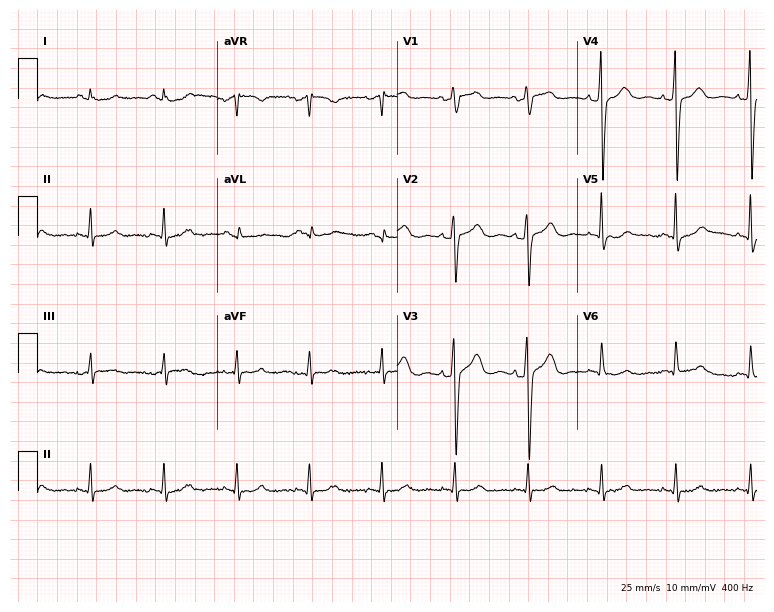
Resting 12-lead electrocardiogram. Patient: a male, 48 years old. None of these six findings is recorded: first-degree AV block, right bundle branch block, left bundle branch block, sinus bradycardia, atrial fibrillation, sinus tachycardia. Findings outside these six are not listed.